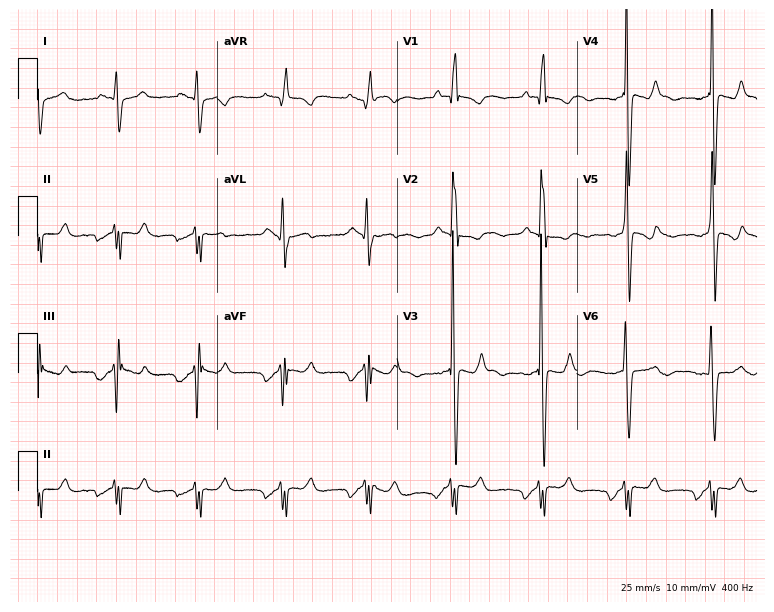
12-lead ECG from a 33-year-old woman (7.3-second recording at 400 Hz). No first-degree AV block, right bundle branch block, left bundle branch block, sinus bradycardia, atrial fibrillation or sinus tachycardia recorded for this tracing. Only these six findings were labelled.